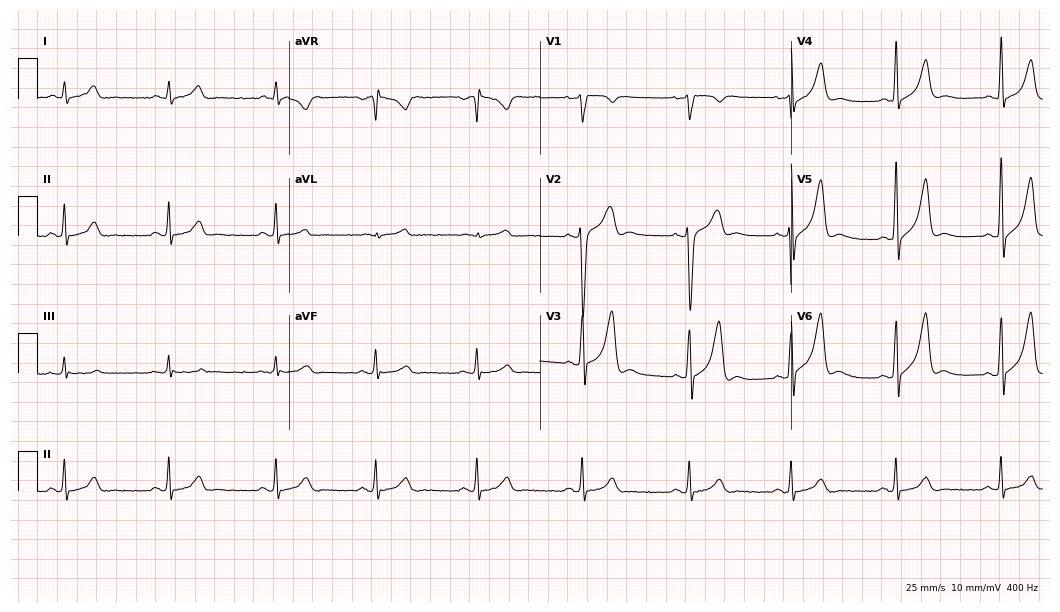
ECG (10.2-second recording at 400 Hz) — a male, 30 years old. Screened for six findings — first-degree AV block, right bundle branch block (RBBB), left bundle branch block (LBBB), sinus bradycardia, atrial fibrillation (AF), sinus tachycardia — none is recorded.